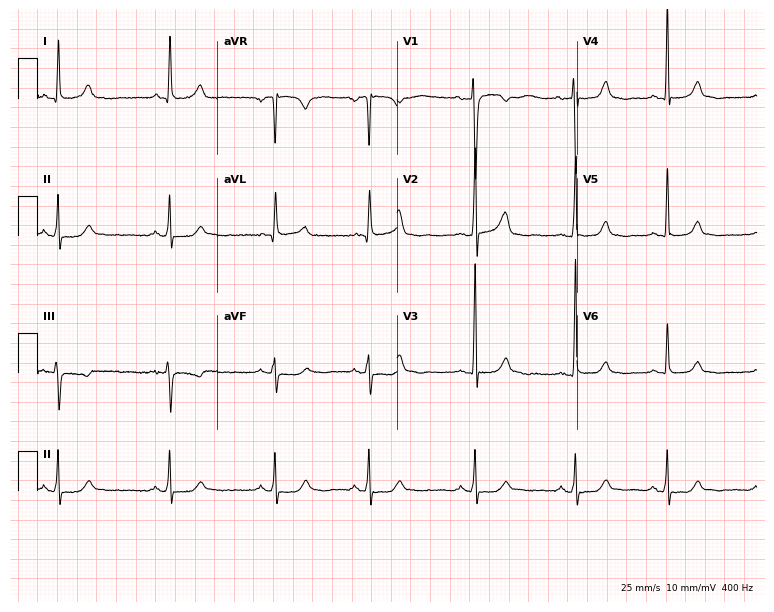
Resting 12-lead electrocardiogram (7.3-second recording at 400 Hz). Patient: a female, 38 years old. None of these six findings is recorded: first-degree AV block, right bundle branch block, left bundle branch block, sinus bradycardia, atrial fibrillation, sinus tachycardia. Findings outside these six are not listed.